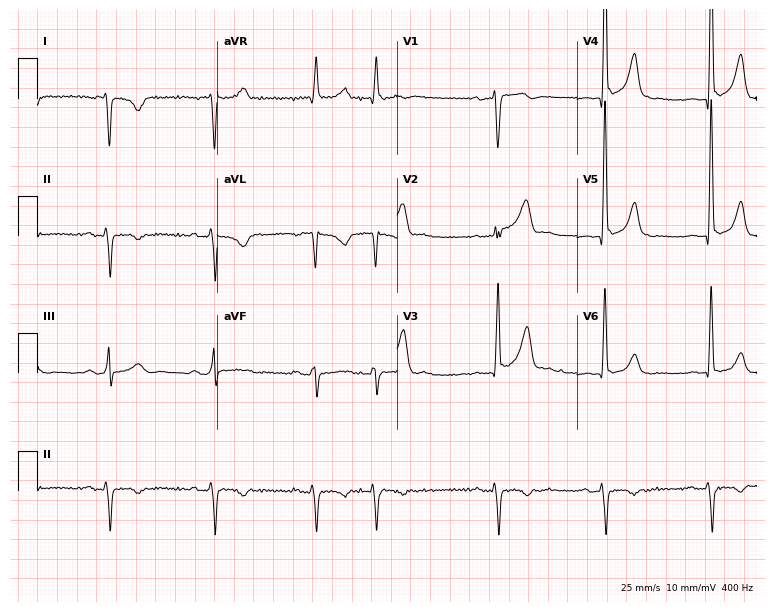
12-lead ECG from a male patient, 73 years old (7.3-second recording at 400 Hz). No first-degree AV block, right bundle branch block, left bundle branch block, sinus bradycardia, atrial fibrillation or sinus tachycardia recorded for this tracing.